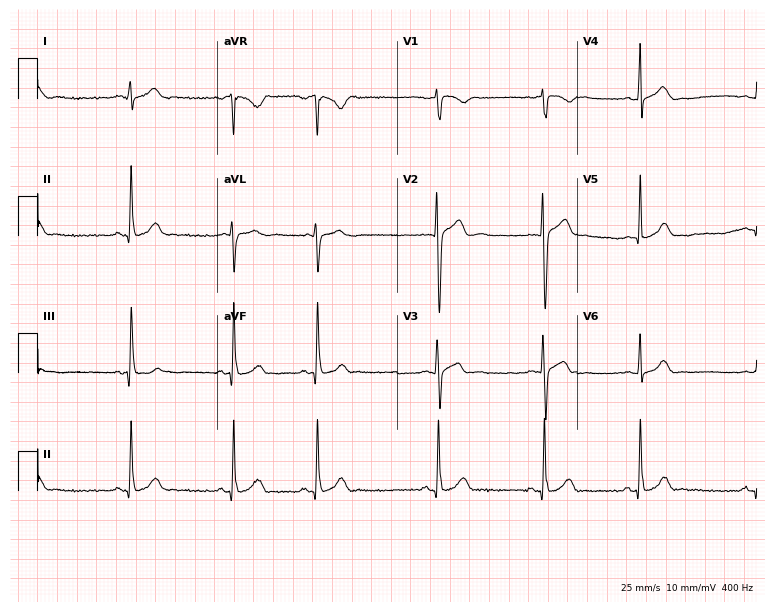
12-lead ECG from a female patient, 22 years old. Screened for six findings — first-degree AV block, right bundle branch block, left bundle branch block, sinus bradycardia, atrial fibrillation, sinus tachycardia — none is recorded. Only these six findings were labelled.